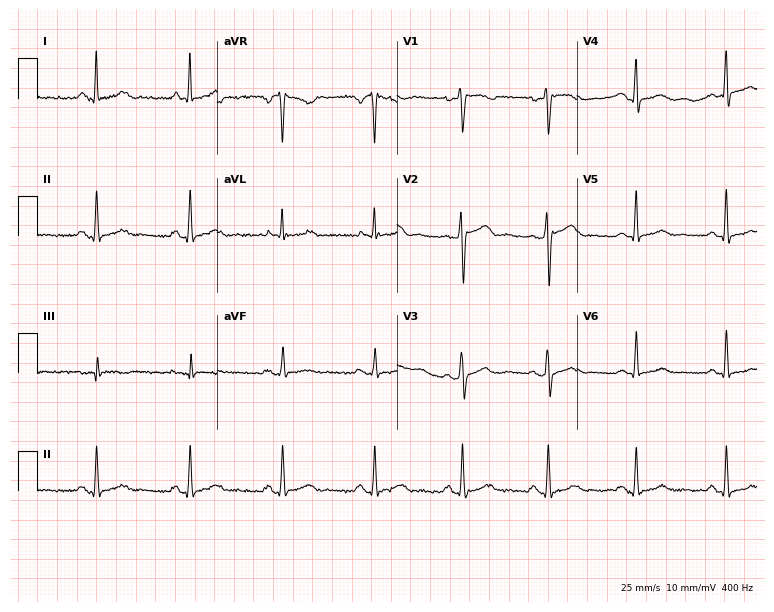
Standard 12-lead ECG recorded from a female patient, 49 years old (7.3-second recording at 400 Hz). None of these six findings is recorded: first-degree AV block, right bundle branch block, left bundle branch block, sinus bradycardia, atrial fibrillation, sinus tachycardia.